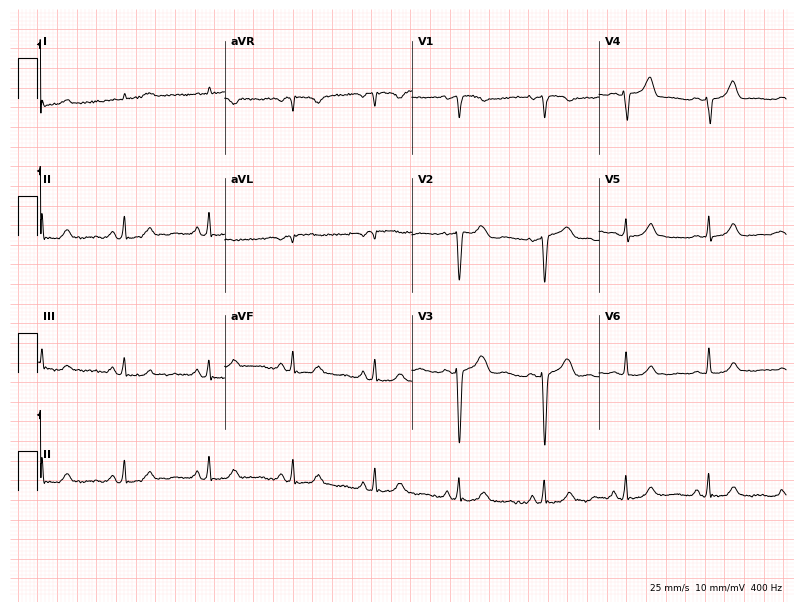
12-lead ECG from a 69-year-old woman (7.6-second recording at 400 Hz). No first-degree AV block, right bundle branch block, left bundle branch block, sinus bradycardia, atrial fibrillation or sinus tachycardia recorded for this tracing. Findings outside these six are not listed.